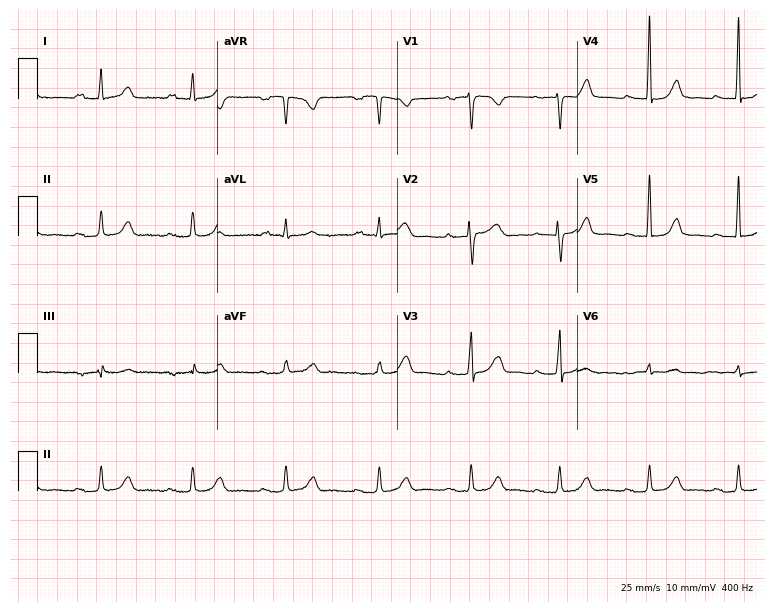
Standard 12-lead ECG recorded from a female patient, 50 years old. The tracing shows first-degree AV block.